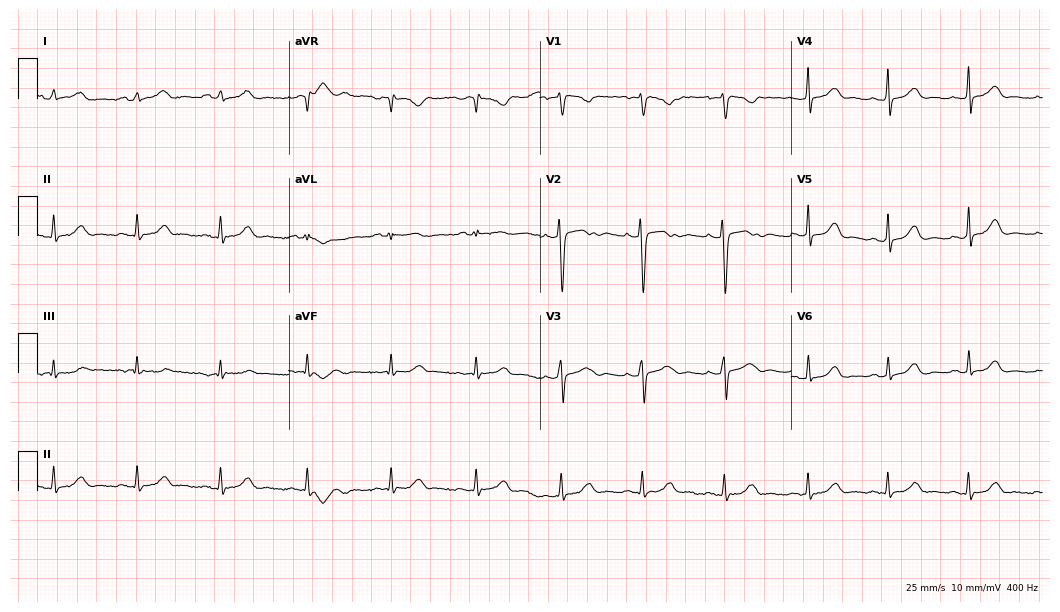
12-lead ECG from a 23-year-old woman. Labelled as a normal ECG.